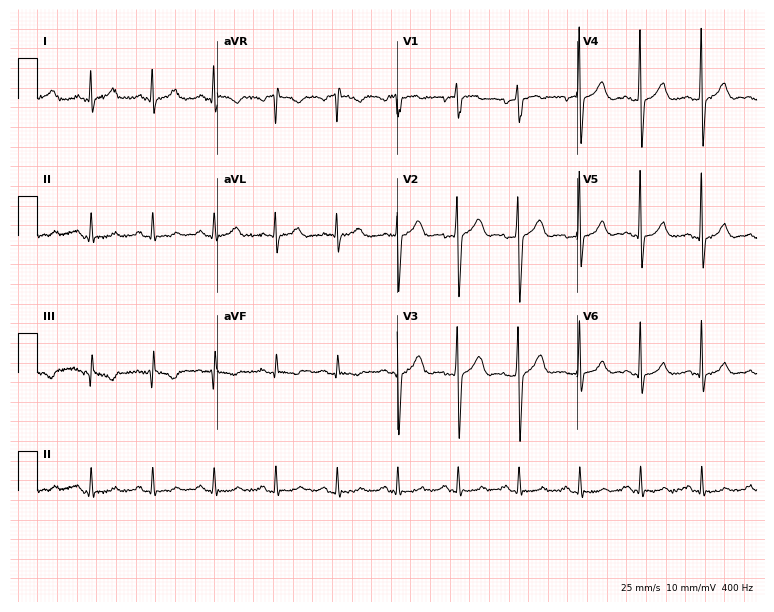
12-lead ECG (7.3-second recording at 400 Hz) from a man, 54 years old. Screened for six findings — first-degree AV block, right bundle branch block, left bundle branch block, sinus bradycardia, atrial fibrillation, sinus tachycardia — none is recorded.